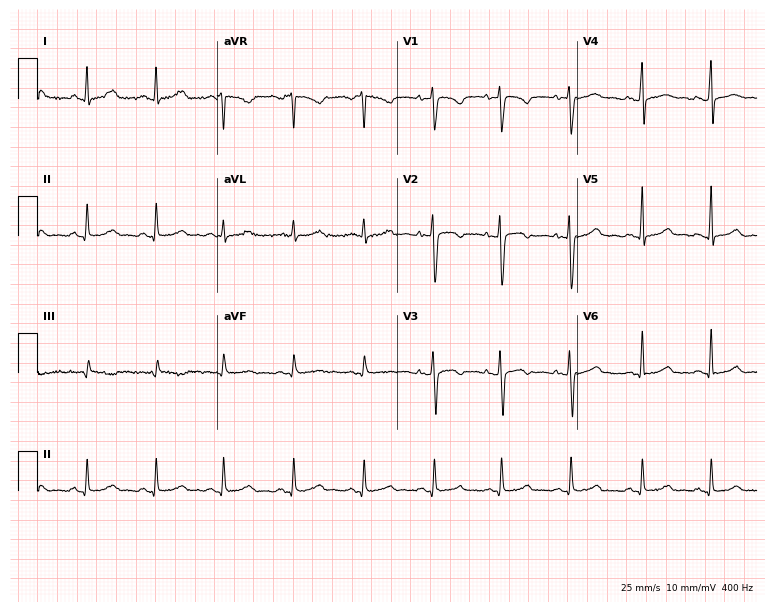
12-lead ECG from a female, 30 years old. Labelled as a normal ECG.